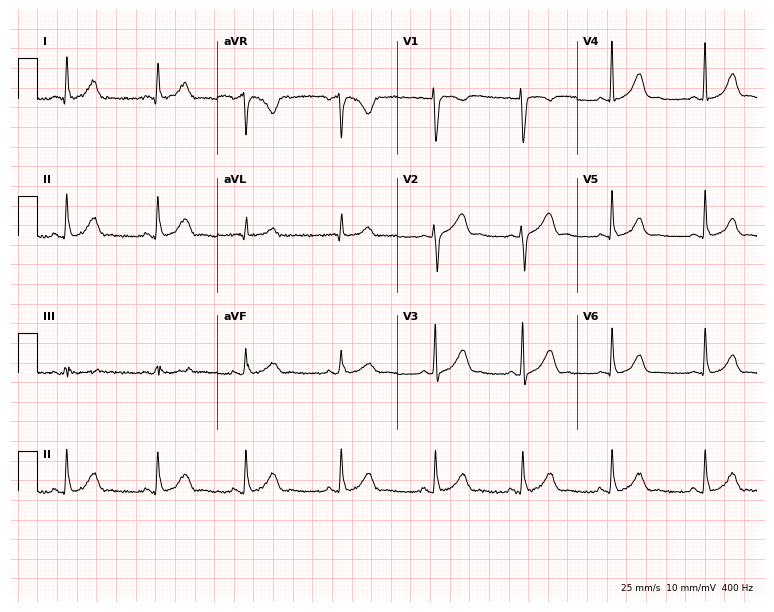
Electrocardiogram (7.3-second recording at 400 Hz), a female patient, 35 years old. Overall reading on record: normal ECG.